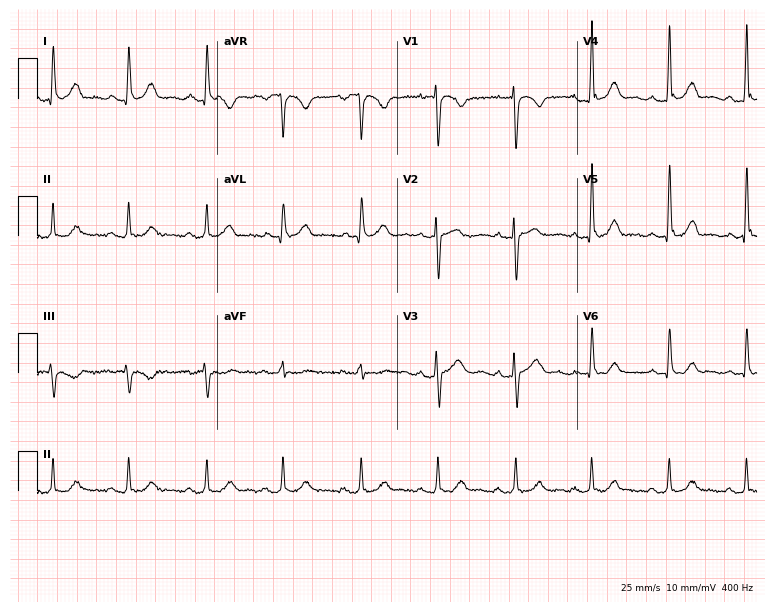
Resting 12-lead electrocardiogram. Patient: a 42-year-old male. Read as a normal ECG.